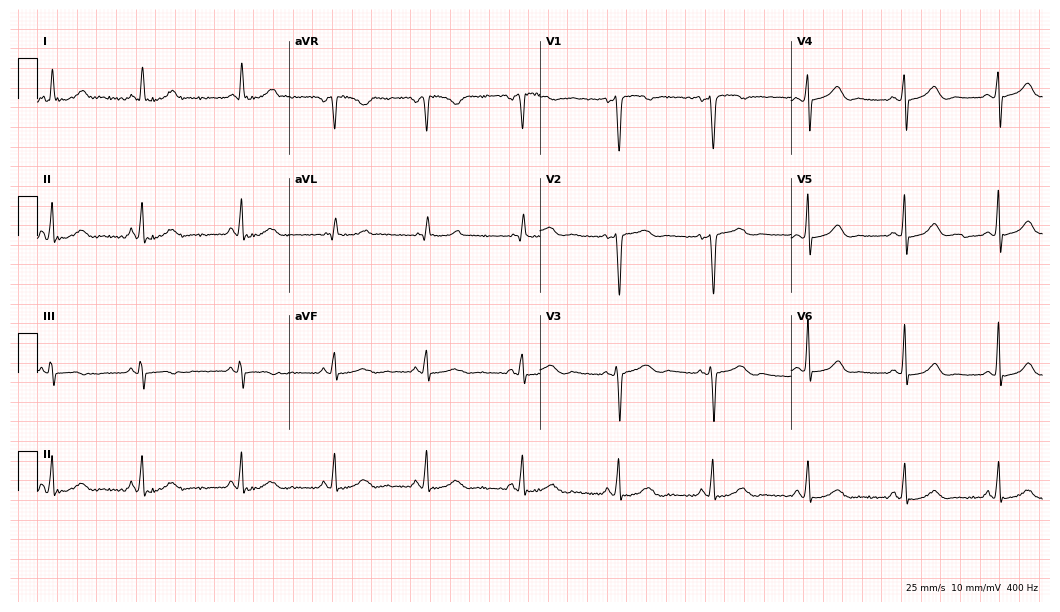
Standard 12-lead ECG recorded from a 52-year-old female (10.2-second recording at 400 Hz). None of these six findings is recorded: first-degree AV block, right bundle branch block (RBBB), left bundle branch block (LBBB), sinus bradycardia, atrial fibrillation (AF), sinus tachycardia.